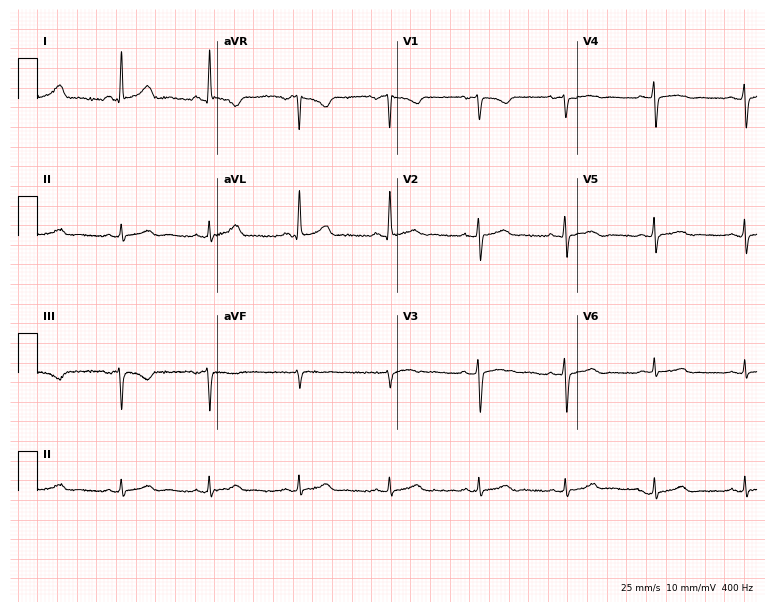
12-lead ECG from a 38-year-old woman. Recorded interpretation: within normal limits.